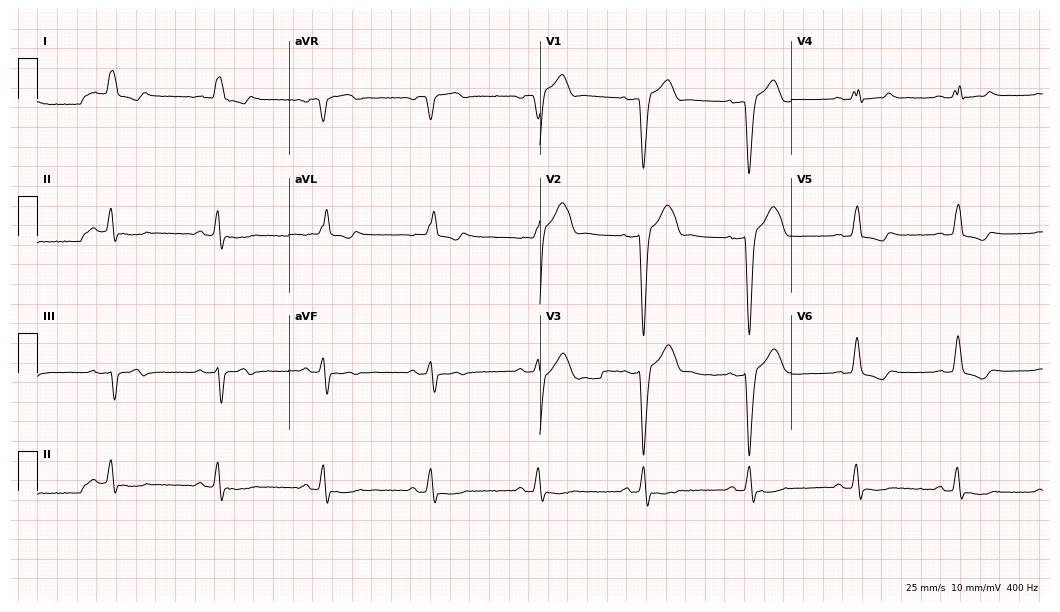
Resting 12-lead electrocardiogram. Patient: a 72-year-old man. The tracing shows left bundle branch block (LBBB).